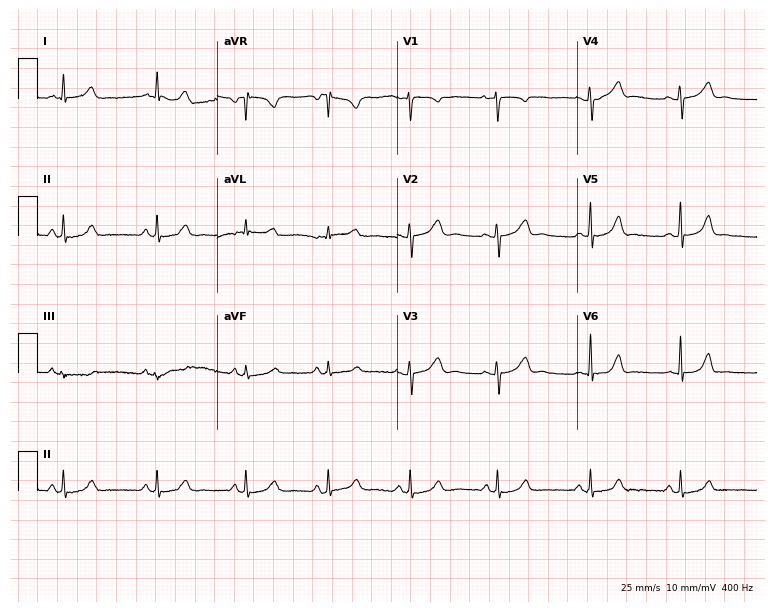
Standard 12-lead ECG recorded from a female, 17 years old. Read as a normal ECG.